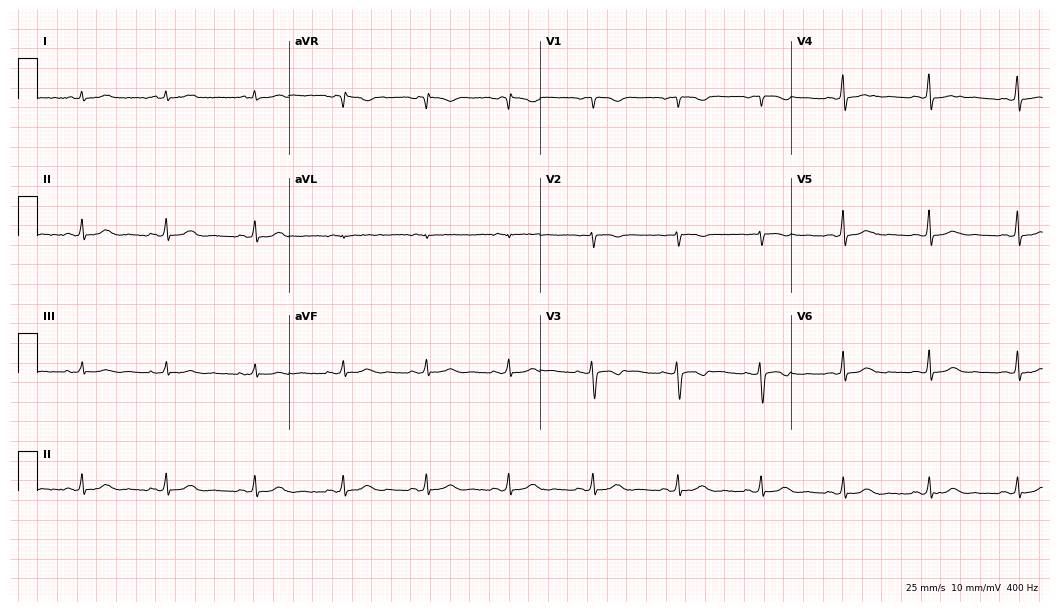
ECG (10.2-second recording at 400 Hz) — a female, 31 years old. Screened for six findings — first-degree AV block, right bundle branch block, left bundle branch block, sinus bradycardia, atrial fibrillation, sinus tachycardia — none is recorded. Findings outside these six are not listed.